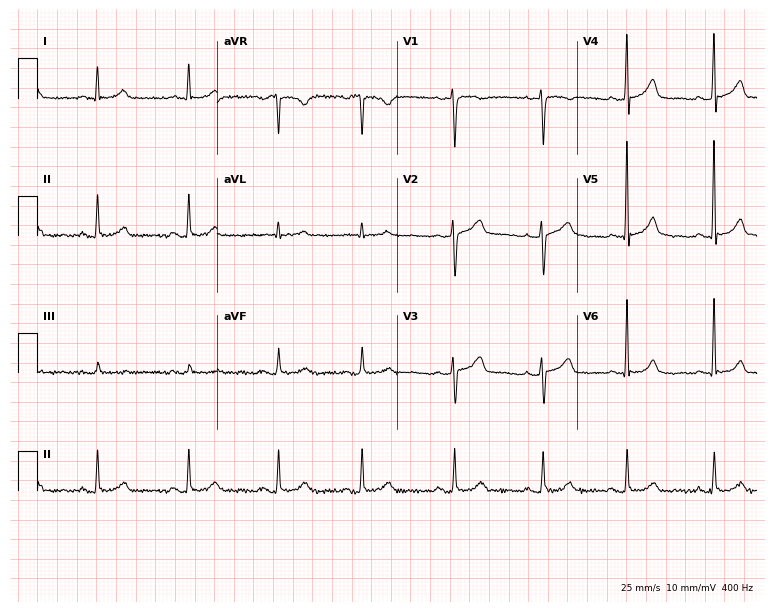
12-lead ECG from a 59-year-old woman. Labelled as a normal ECG.